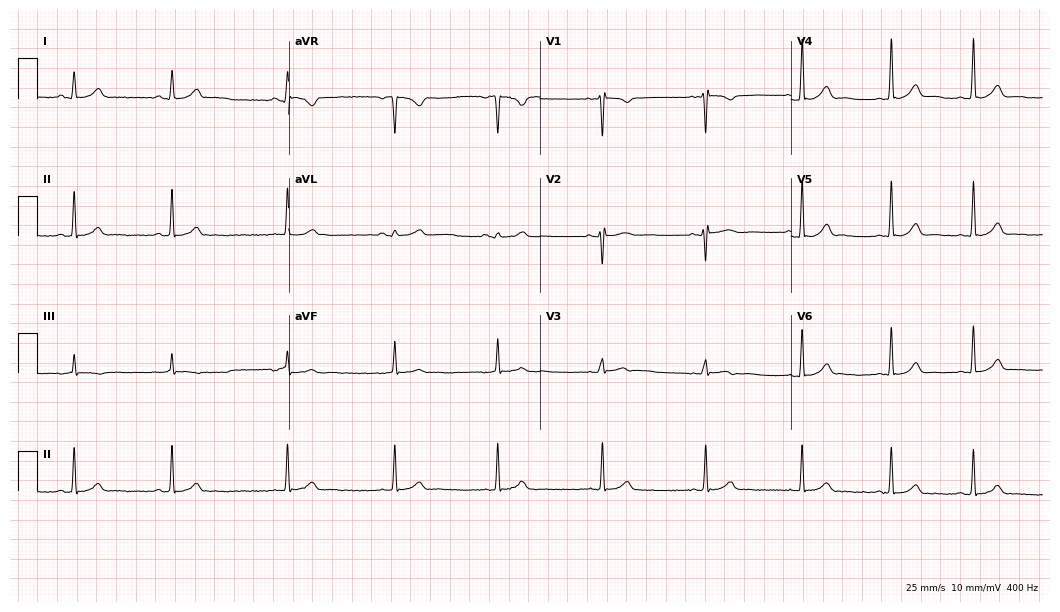
ECG (10.2-second recording at 400 Hz) — a female, 20 years old. Screened for six findings — first-degree AV block, right bundle branch block (RBBB), left bundle branch block (LBBB), sinus bradycardia, atrial fibrillation (AF), sinus tachycardia — none is recorded.